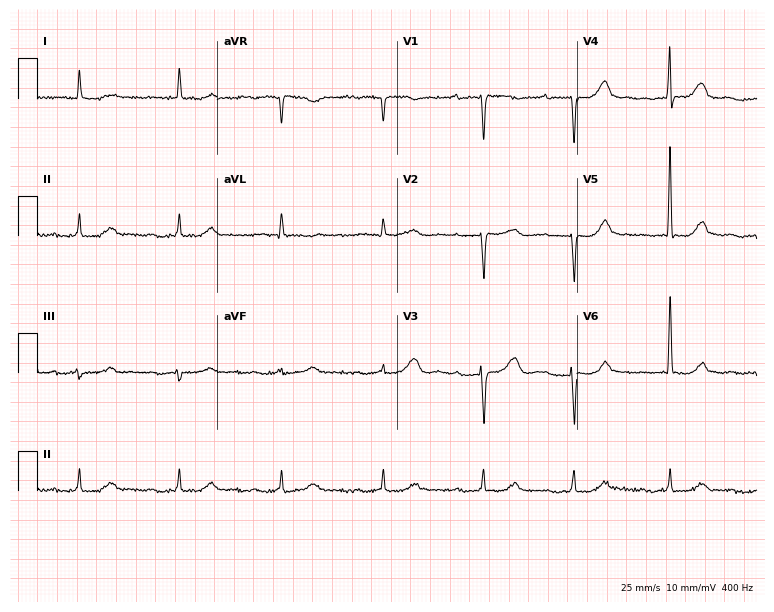
Electrocardiogram, a 76-year-old female patient. Interpretation includes first-degree AV block.